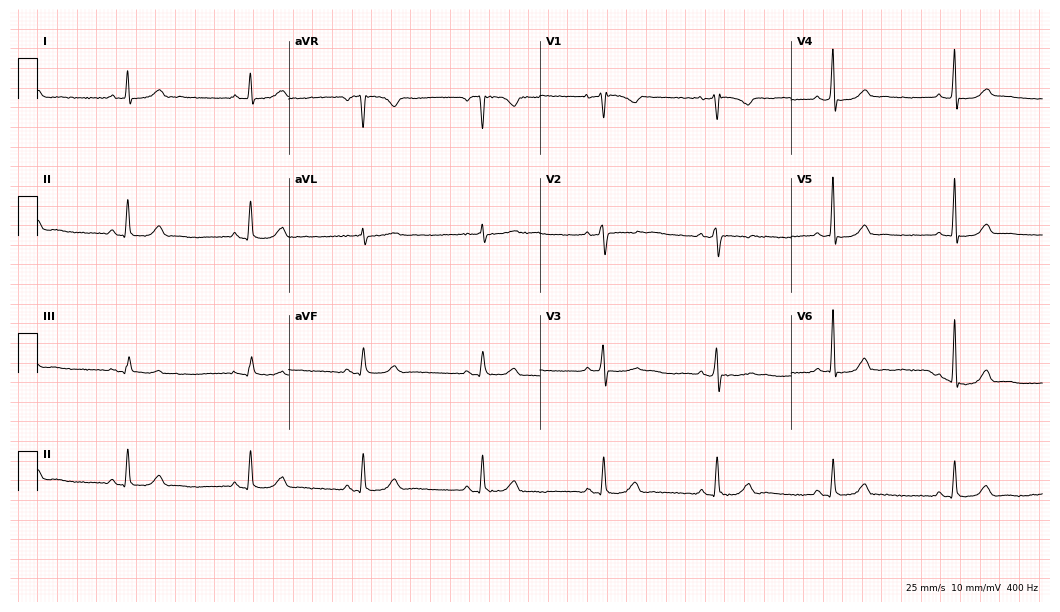
12-lead ECG from a woman, 50 years old (10.2-second recording at 400 Hz). Shows sinus bradycardia (a sinus rate of 50 beats per minute or less).